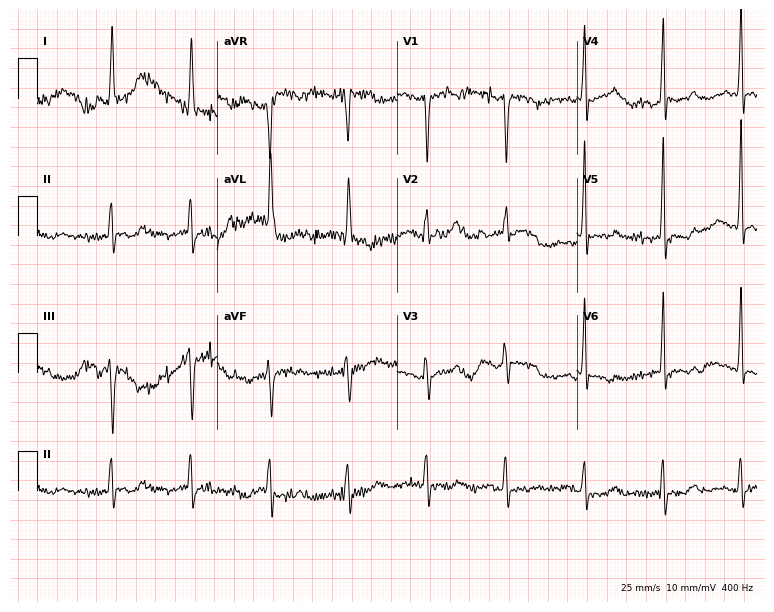
Standard 12-lead ECG recorded from a 70-year-old woman. None of these six findings is recorded: first-degree AV block, right bundle branch block (RBBB), left bundle branch block (LBBB), sinus bradycardia, atrial fibrillation (AF), sinus tachycardia. Other findings, if any, are not listed.